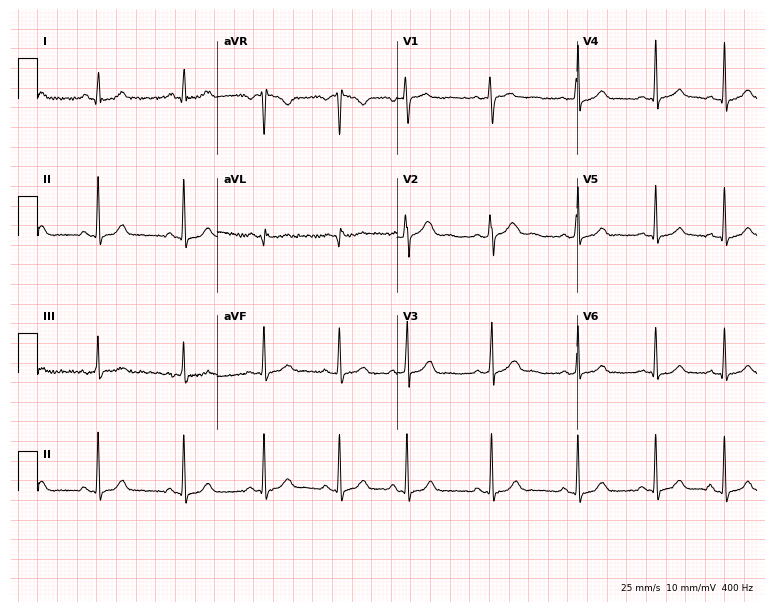
Standard 12-lead ECG recorded from a female patient, 21 years old. Read as a normal ECG.